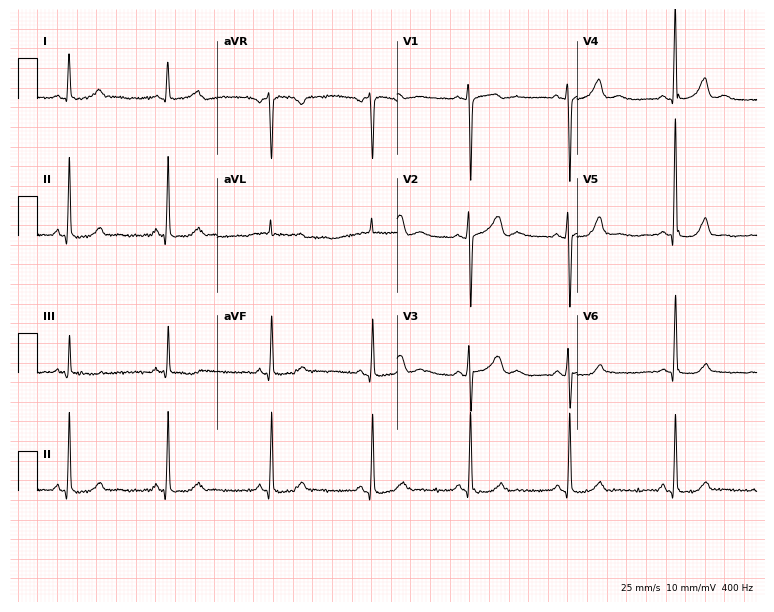
Resting 12-lead electrocardiogram (7.3-second recording at 400 Hz). Patient: a female, 36 years old. Read as a normal ECG.